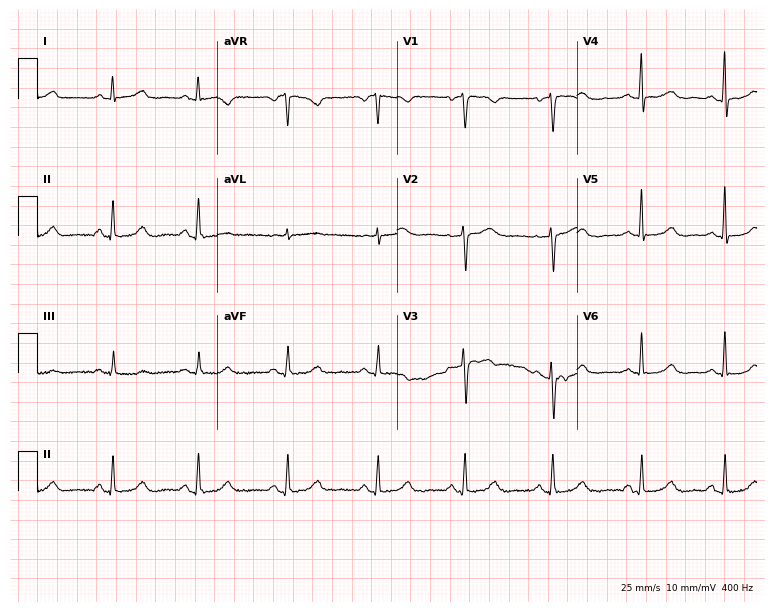
12-lead ECG from a 48-year-old woman (7.3-second recording at 400 Hz). Recorded interpretation: within normal limits.